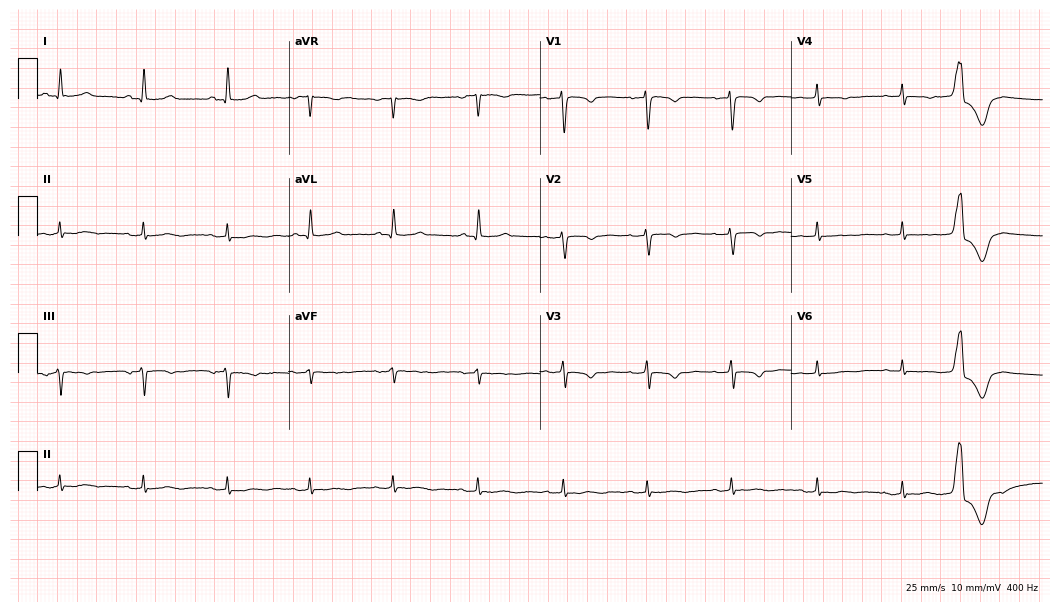
Resting 12-lead electrocardiogram (10.2-second recording at 400 Hz). Patient: a woman, 53 years old. None of these six findings is recorded: first-degree AV block, right bundle branch block, left bundle branch block, sinus bradycardia, atrial fibrillation, sinus tachycardia.